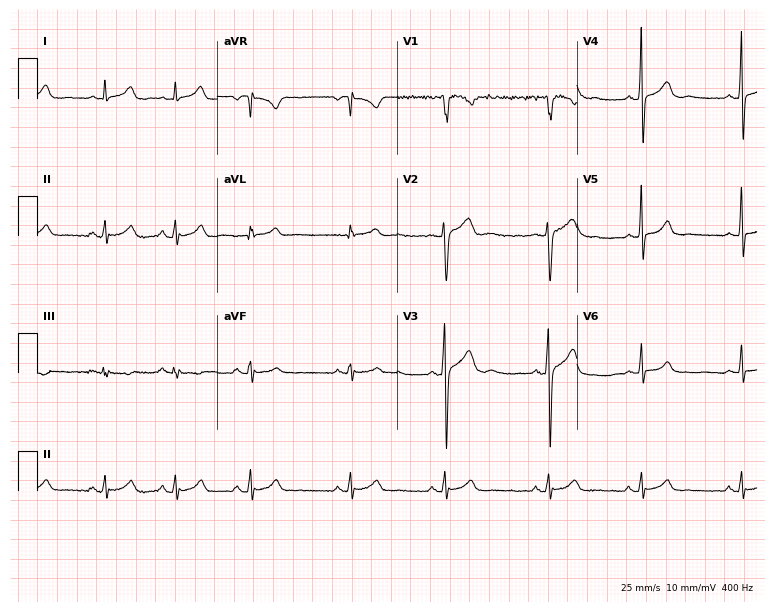
12-lead ECG from a 25-year-old man (7.3-second recording at 400 Hz). No first-degree AV block, right bundle branch block, left bundle branch block, sinus bradycardia, atrial fibrillation or sinus tachycardia recorded for this tracing. Findings outside these six are not listed.